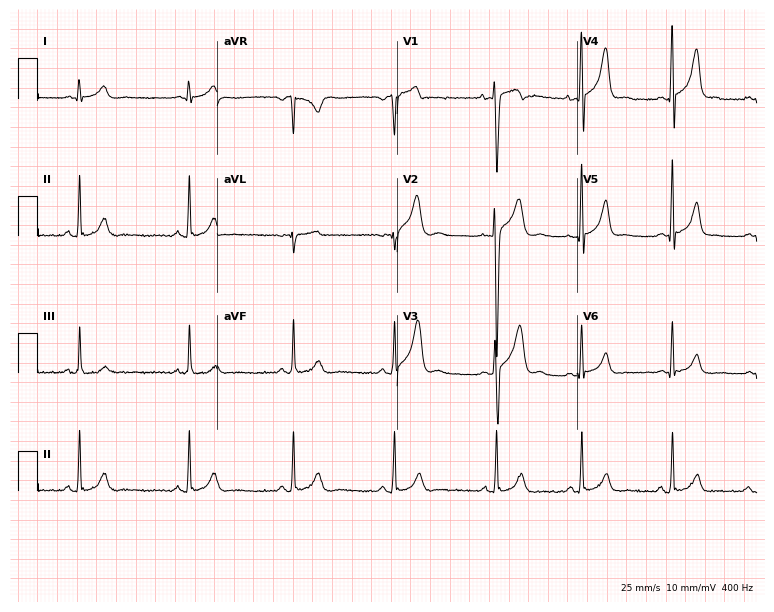
12-lead ECG from a 19-year-old man. Labelled as a normal ECG.